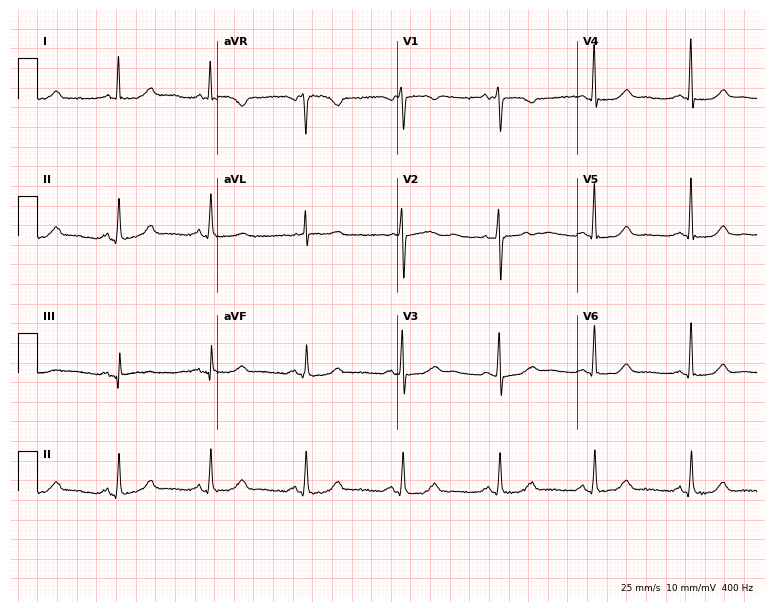
Resting 12-lead electrocardiogram. Patient: a 67-year-old woman. None of these six findings is recorded: first-degree AV block, right bundle branch block, left bundle branch block, sinus bradycardia, atrial fibrillation, sinus tachycardia. Findings outside these six are not listed.